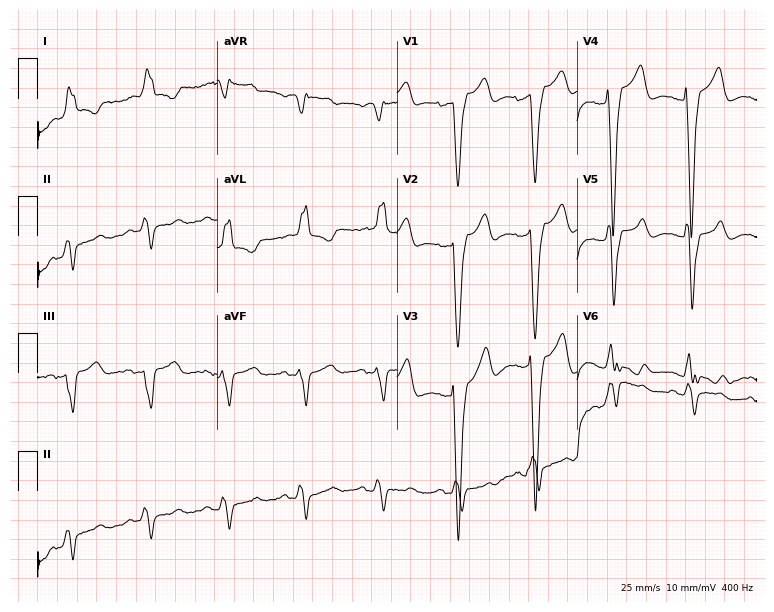
Electrocardiogram, a female patient, 85 years old. Of the six screened findings (first-degree AV block, right bundle branch block (RBBB), left bundle branch block (LBBB), sinus bradycardia, atrial fibrillation (AF), sinus tachycardia), none is recorded.